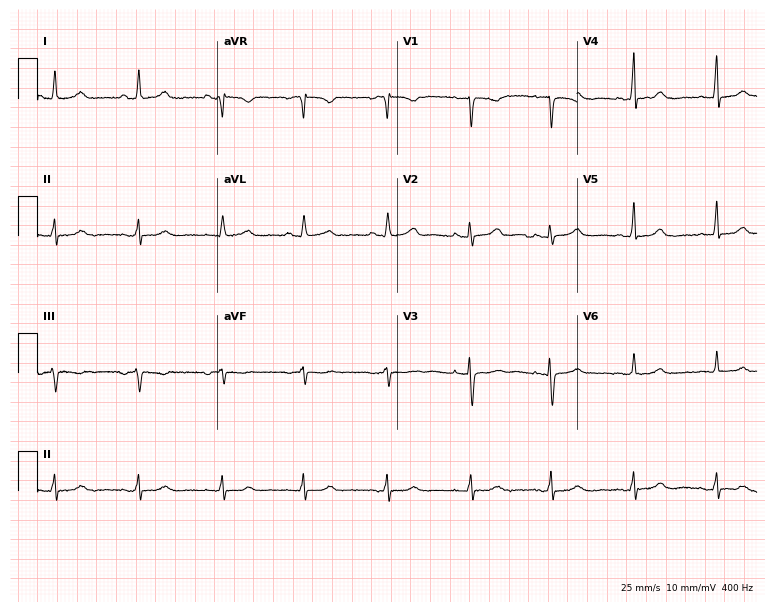
Standard 12-lead ECG recorded from a 42-year-old female patient. None of these six findings is recorded: first-degree AV block, right bundle branch block, left bundle branch block, sinus bradycardia, atrial fibrillation, sinus tachycardia. Only these six findings were labelled.